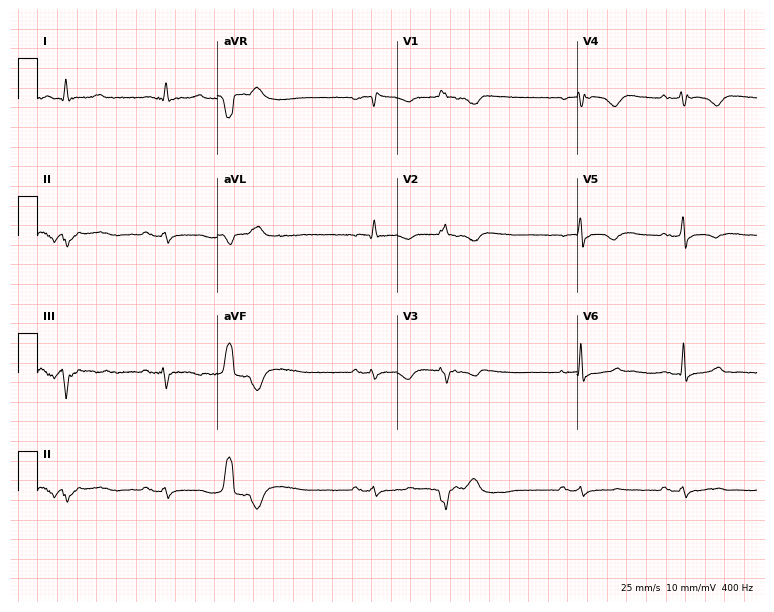
12-lead ECG (7.3-second recording at 400 Hz) from a 65-year-old female patient. Screened for six findings — first-degree AV block, right bundle branch block, left bundle branch block, sinus bradycardia, atrial fibrillation, sinus tachycardia — none is recorded. Other findings, if any, are not listed.